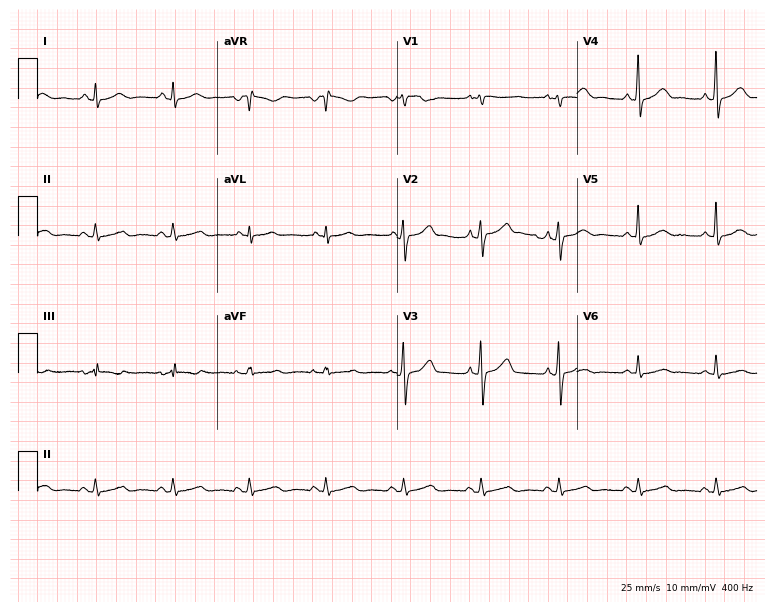
Electrocardiogram, a 49-year-old female. Overall reading on record: normal ECG.